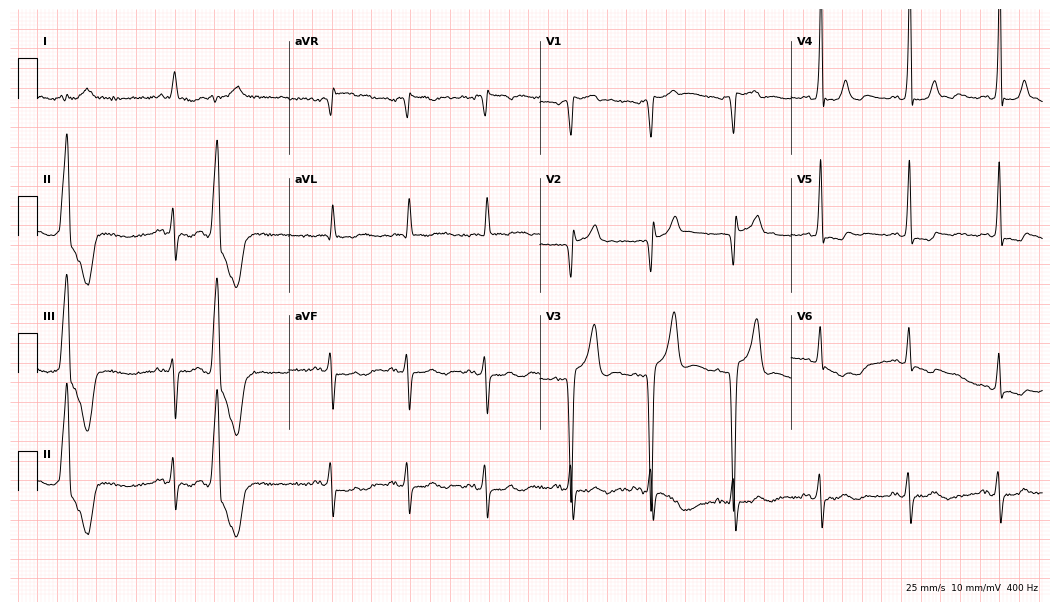
Resting 12-lead electrocardiogram. Patient: a male, 82 years old. None of these six findings is recorded: first-degree AV block, right bundle branch block, left bundle branch block, sinus bradycardia, atrial fibrillation, sinus tachycardia. Other findings, if any, are not listed.